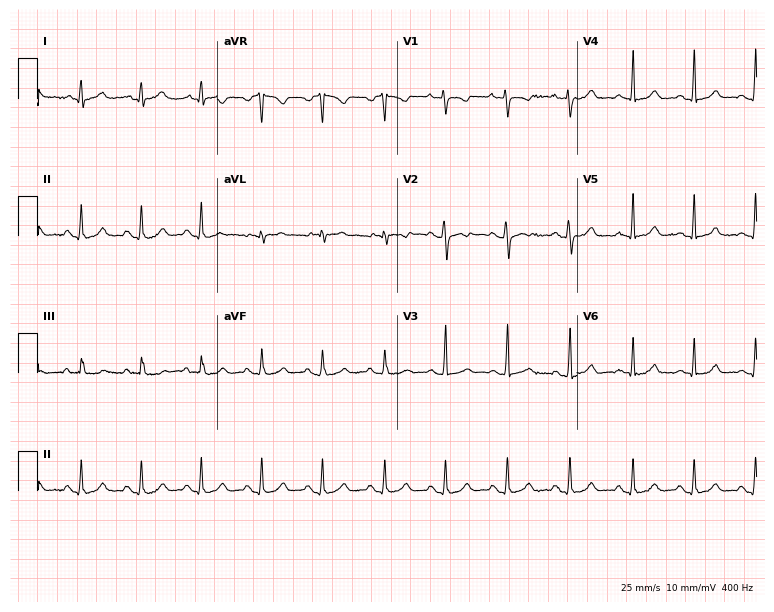
Resting 12-lead electrocardiogram (7.3-second recording at 400 Hz). Patient: a female, 17 years old. Read as a normal ECG.